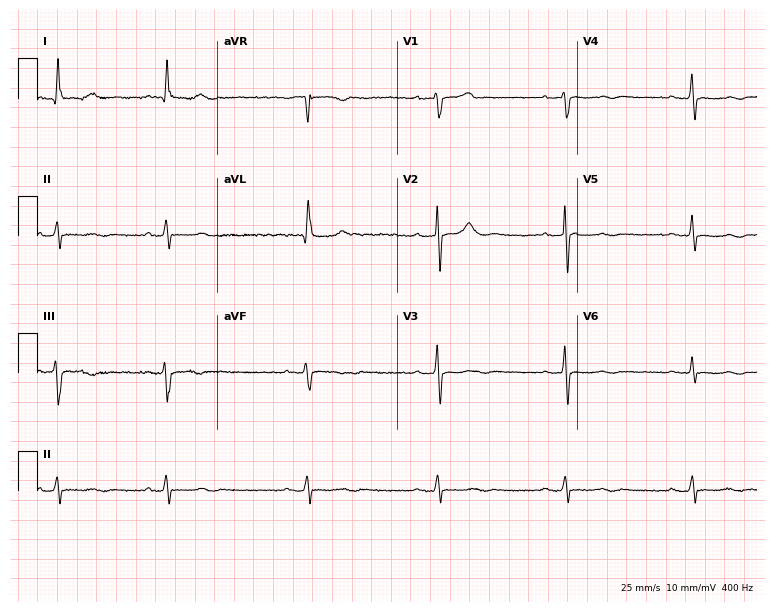
Standard 12-lead ECG recorded from a female, 80 years old. None of these six findings is recorded: first-degree AV block, right bundle branch block (RBBB), left bundle branch block (LBBB), sinus bradycardia, atrial fibrillation (AF), sinus tachycardia. Findings outside these six are not listed.